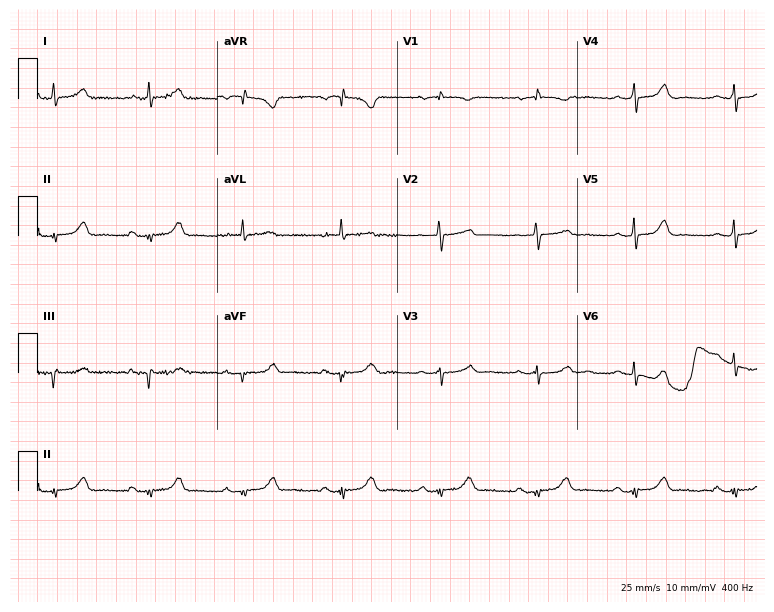
Resting 12-lead electrocardiogram. Patient: a female, 82 years old. None of these six findings is recorded: first-degree AV block, right bundle branch block, left bundle branch block, sinus bradycardia, atrial fibrillation, sinus tachycardia. Only these six findings were labelled.